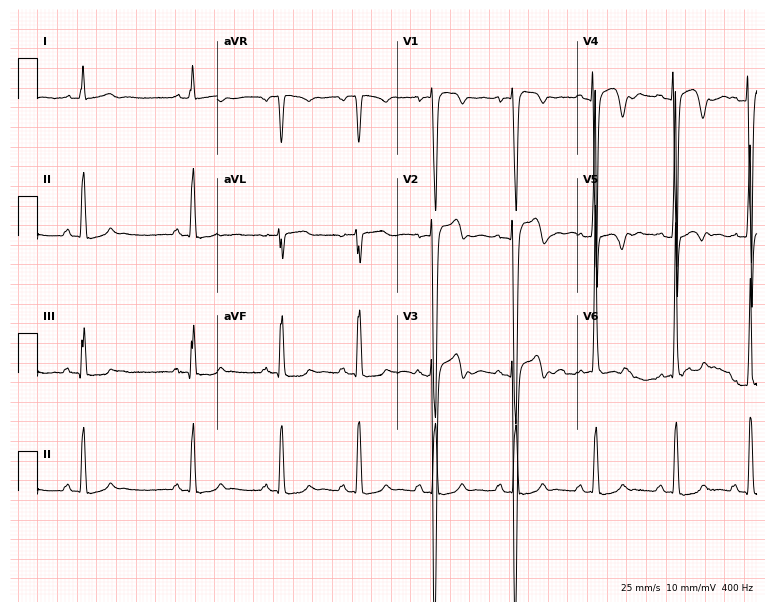
Resting 12-lead electrocardiogram (7.3-second recording at 400 Hz). Patient: a 22-year-old man. None of these six findings is recorded: first-degree AV block, right bundle branch block (RBBB), left bundle branch block (LBBB), sinus bradycardia, atrial fibrillation (AF), sinus tachycardia. Other findings, if any, are not listed.